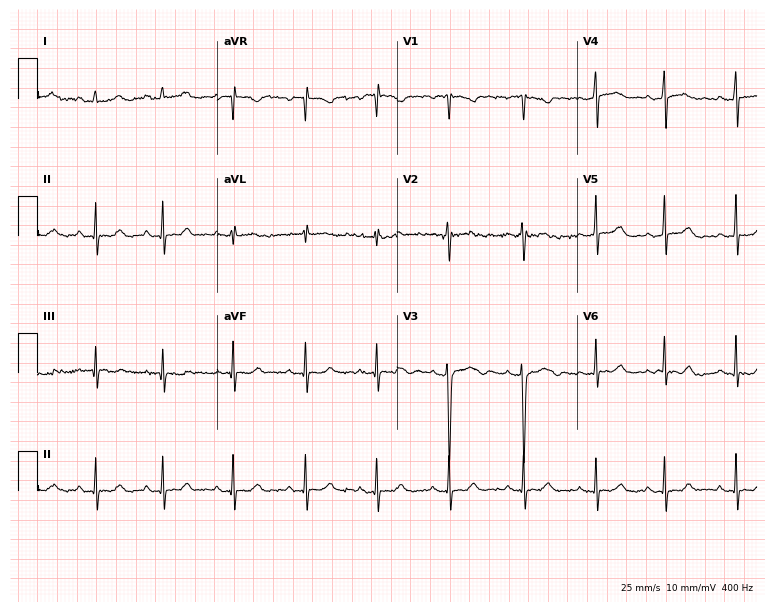
Resting 12-lead electrocardiogram. Patient: a woman, 17 years old. Read as a normal ECG.